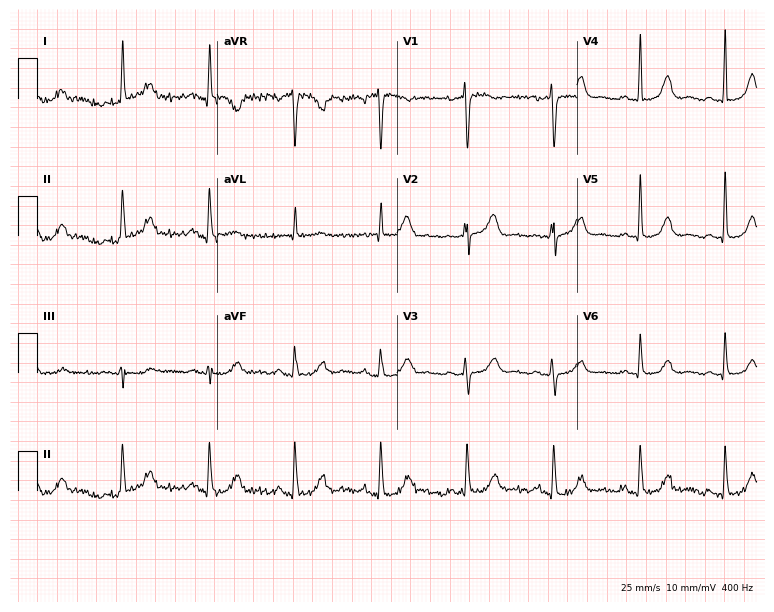
12-lead ECG from a 75-year-old female patient (7.3-second recording at 400 Hz). Recorded interpretation: within normal limits.